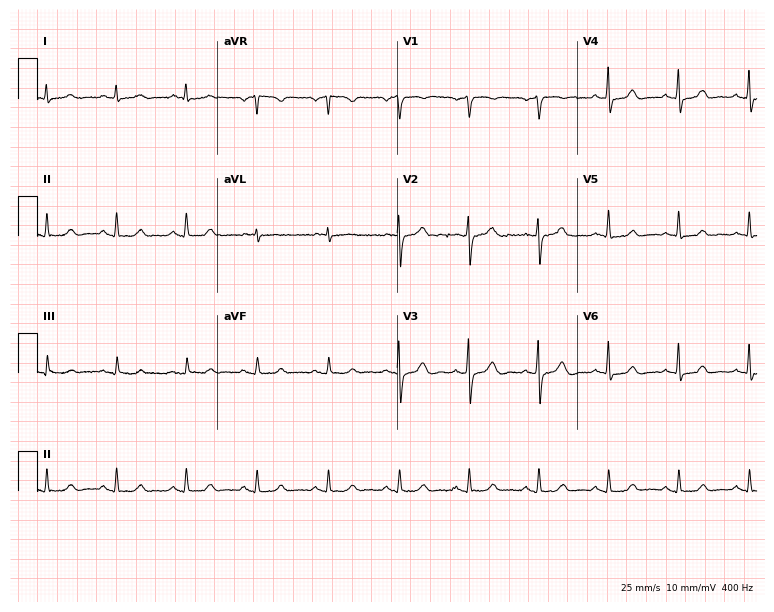
Standard 12-lead ECG recorded from a man, 63 years old (7.3-second recording at 400 Hz). Read as a normal ECG.